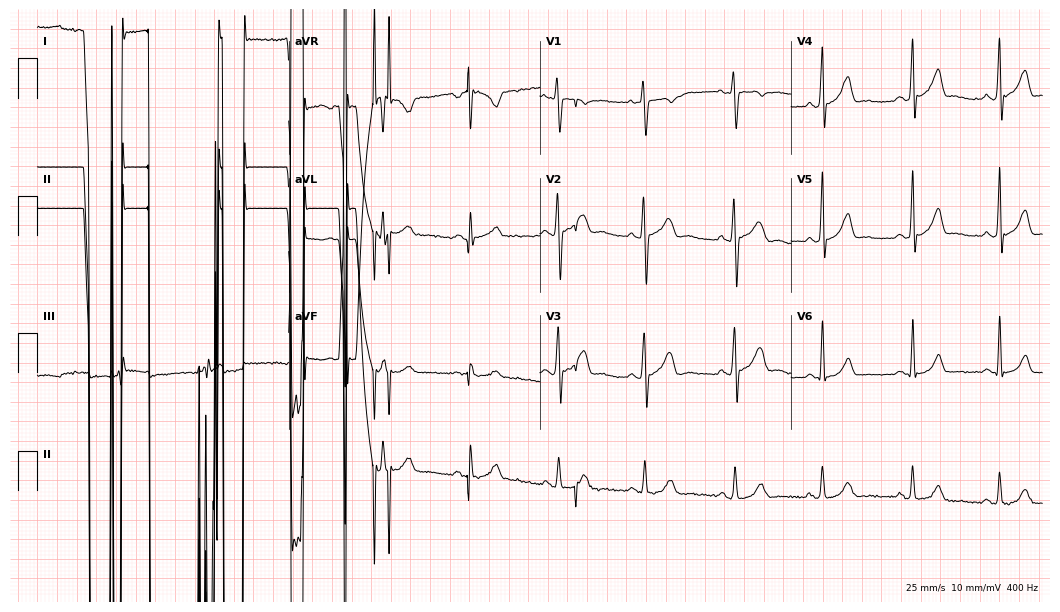
Electrocardiogram, a woman, 38 years old. Of the six screened findings (first-degree AV block, right bundle branch block (RBBB), left bundle branch block (LBBB), sinus bradycardia, atrial fibrillation (AF), sinus tachycardia), none is recorded.